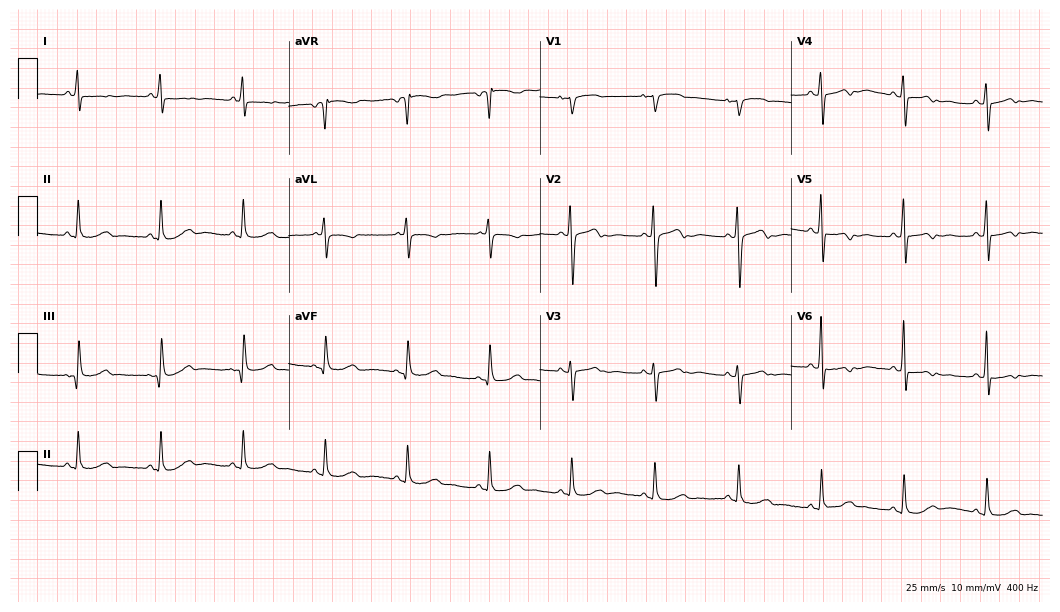
12-lead ECG from a 73-year-old woman. Screened for six findings — first-degree AV block, right bundle branch block, left bundle branch block, sinus bradycardia, atrial fibrillation, sinus tachycardia — none is recorded. Only these six findings were labelled.